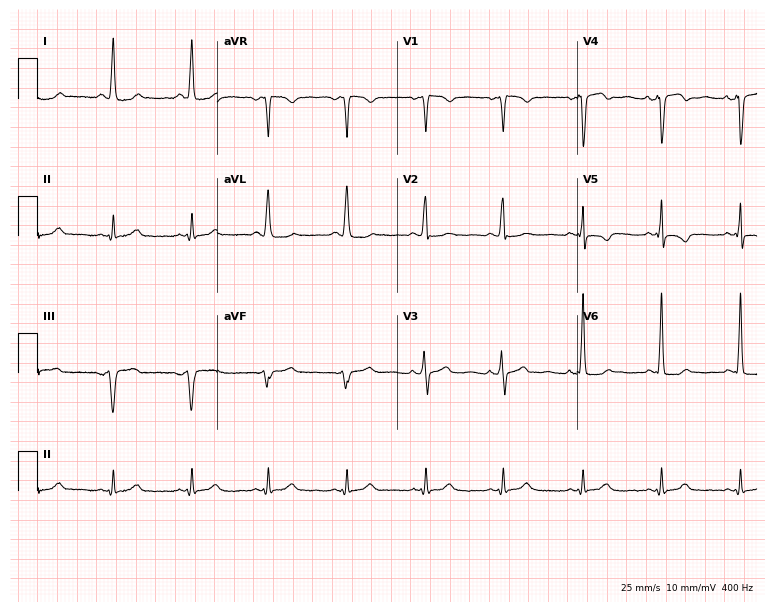
ECG (7.3-second recording at 400 Hz) — a 43-year-old woman. Screened for six findings — first-degree AV block, right bundle branch block, left bundle branch block, sinus bradycardia, atrial fibrillation, sinus tachycardia — none is recorded.